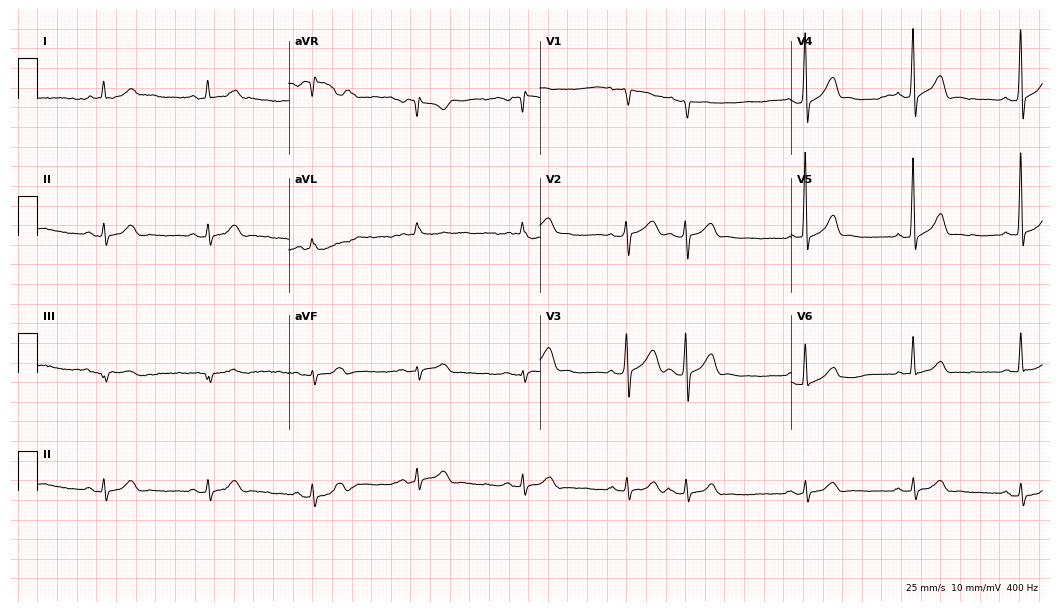
12-lead ECG from a 61-year-old male patient. Recorded interpretation: within normal limits.